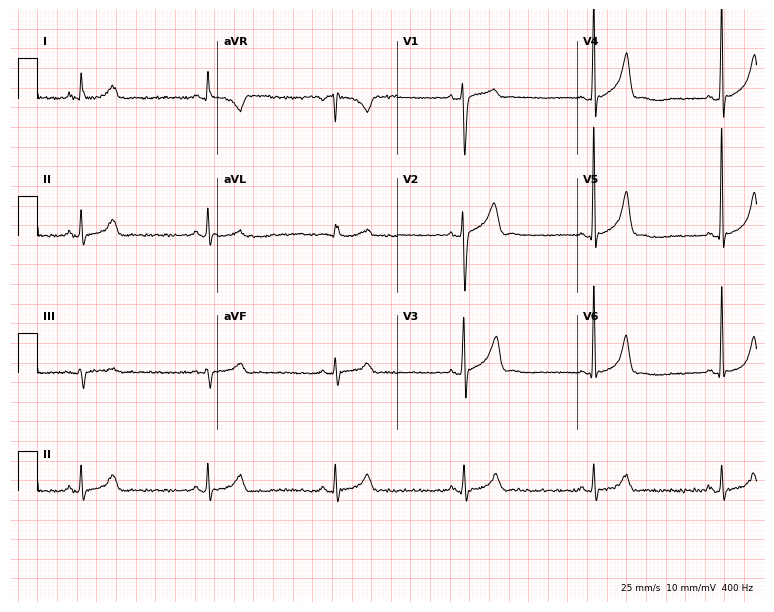
12-lead ECG (7.3-second recording at 400 Hz) from a 39-year-old man. Screened for six findings — first-degree AV block, right bundle branch block, left bundle branch block, sinus bradycardia, atrial fibrillation, sinus tachycardia — none is recorded. Other findings, if any, are not listed.